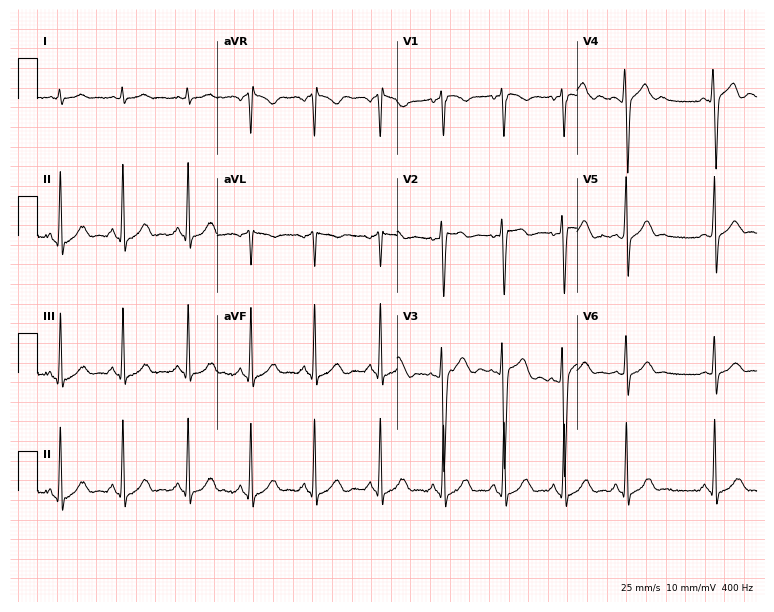
Standard 12-lead ECG recorded from a 21-year-old male patient. None of these six findings is recorded: first-degree AV block, right bundle branch block, left bundle branch block, sinus bradycardia, atrial fibrillation, sinus tachycardia. Other findings, if any, are not listed.